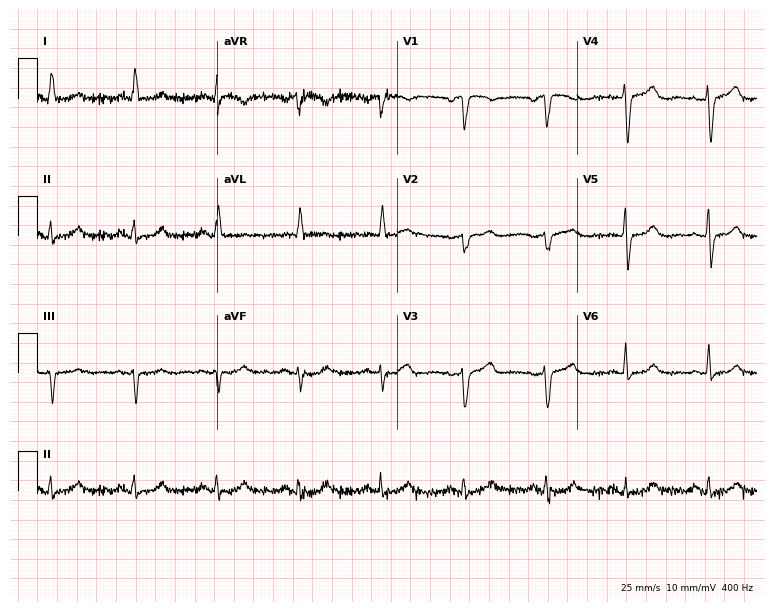
Standard 12-lead ECG recorded from a 64-year-old female. Read as a normal ECG.